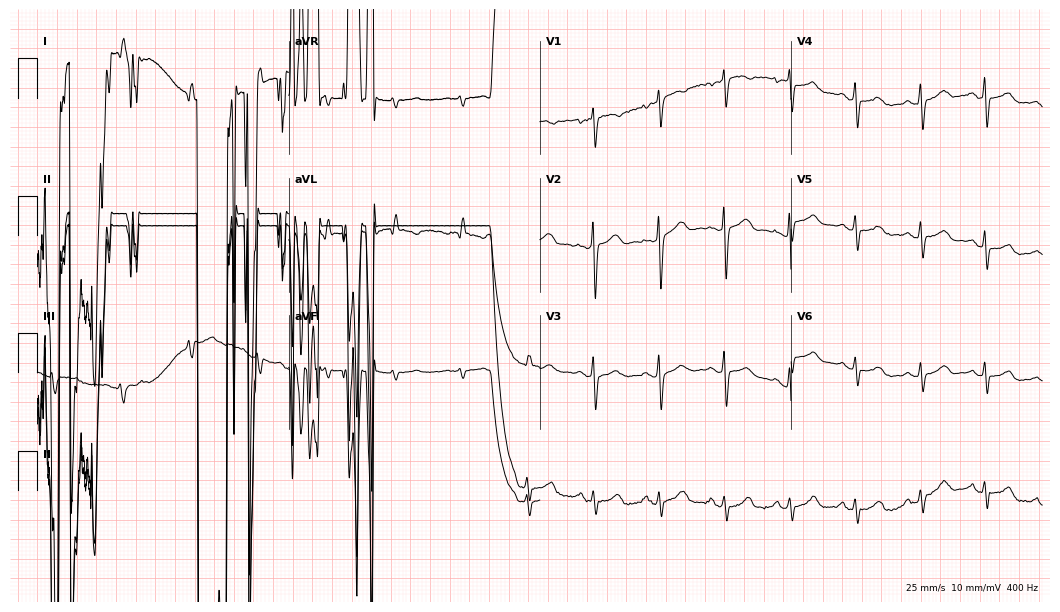
ECG (10.2-second recording at 400 Hz) — a 56-year-old female. Screened for six findings — first-degree AV block, right bundle branch block (RBBB), left bundle branch block (LBBB), sinus bradycardia, atrial fibrillation (AF), sinus tachycardia — none is recorded.